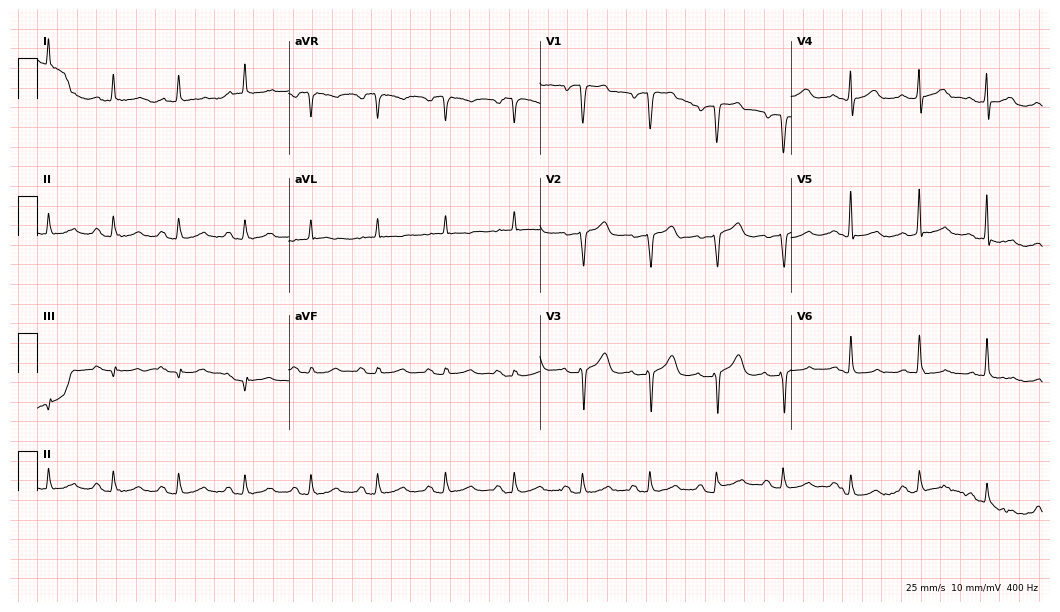
ECG (10.2-second recording at 400 Hz) — a 77-year-old man. Labelled as a normal ECG.